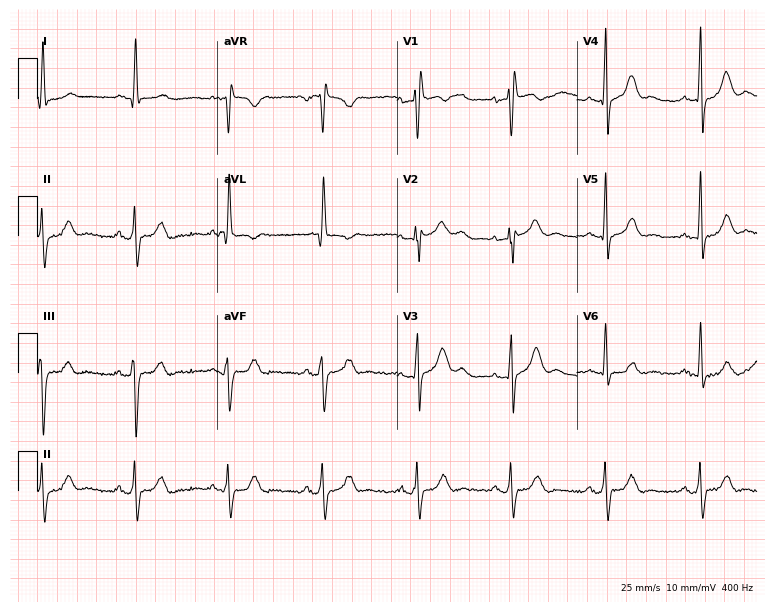
ECG (7.3-second recording at 400 Hz) — a male patient, 85 years old. Screened for six findings — first-degree AV block, right bundle branch block (RBBB), left bundle branch block (LBBB), sinus bradycardia, atrial fibrillation (AF), sinus tachycardia — none is recorded. Findings outside these six are not listed.